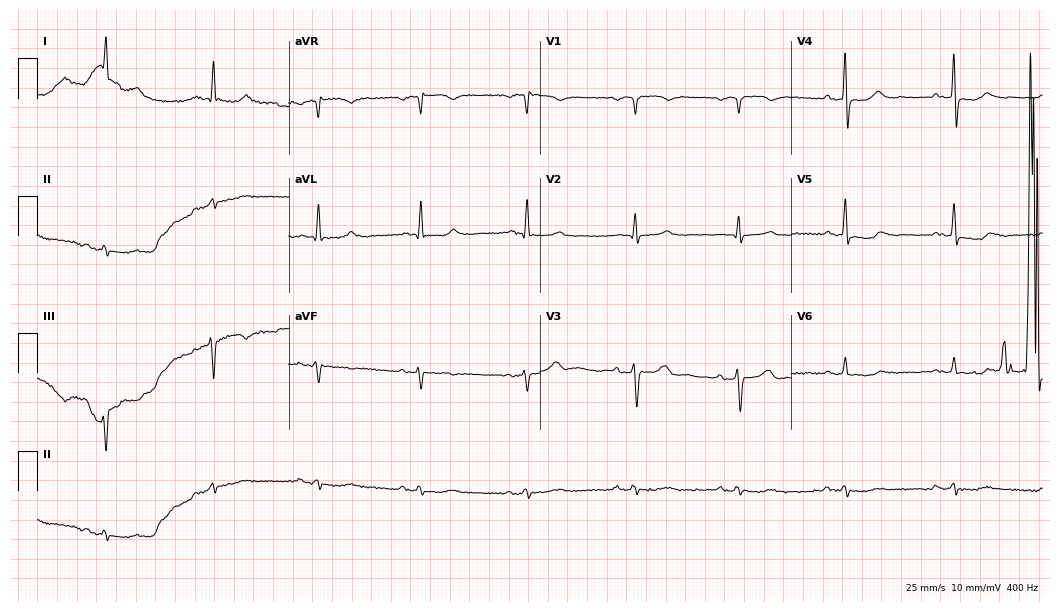
12-lead ECG (10.2-second recording at 400 Hz) from a 65-year-old male. Screened for six findings — first-degree AV block, right bundle branch block, left bundle branch block, sinus bradycardia, atrial fibrillation, sinus tachycardia — none is recorded. Only these six findings were labelled.